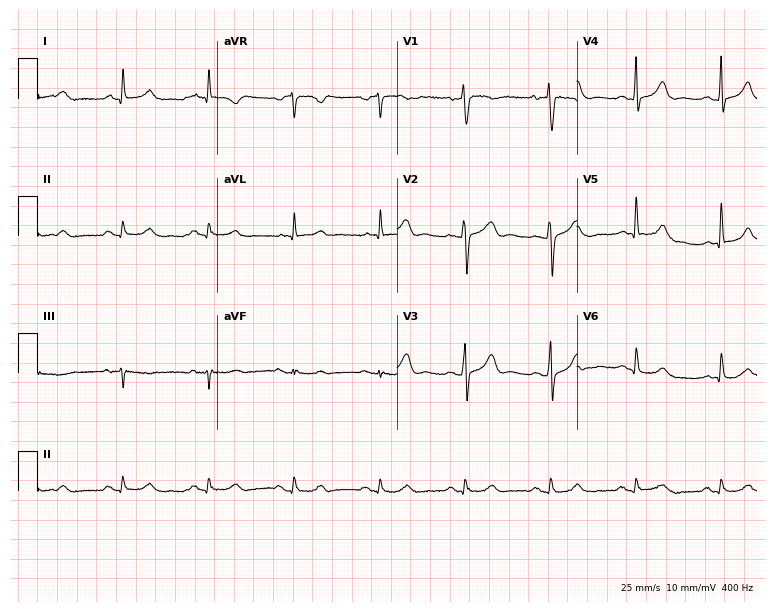
Resting 12-lead electrocardiogram (7.3-second recording at 400 Hz). Patient: a male, 75 years old. None of these six findings is recorded: first-degree AV block, right bundle branch block, left bundle branch block, sinus bradycardia, atrial fibrillation, sinus tachycardia.